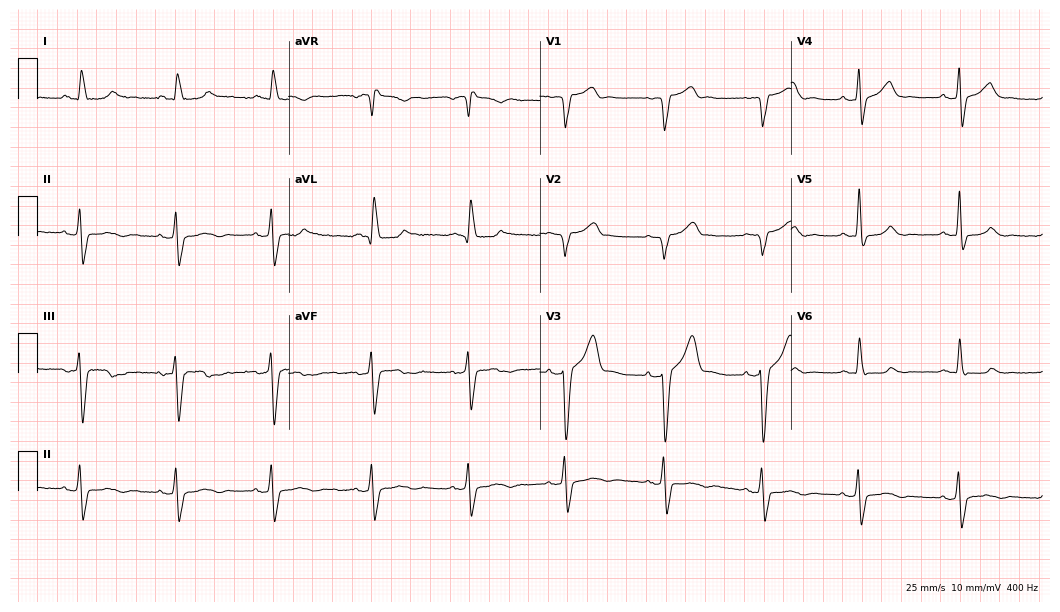
12-lead ECG from a 62-year-old male. Screened for six findings — first-degree AV block, right bundle branch block (RBBB), left bundle branch block (LBBB), sinus bradycardia, atrial fibrillation (AF), sinus tachycardia — none is recorded.